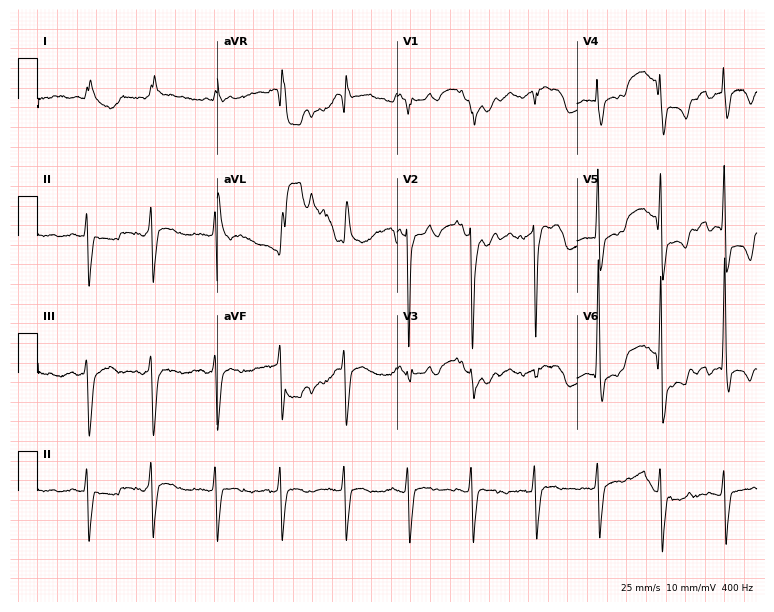
Electrocardiogram (7.3-second recording at 400 Hz), a female, 84 years old. Of the six screened findings (first-degree AV block, right bundle branch block (RBBB), left bundle branch block (LBBB), sinus bradycardia, atrial fibrillation (AF), sinus tachycardia), none is recorded. Other findings, if any, are not listed.